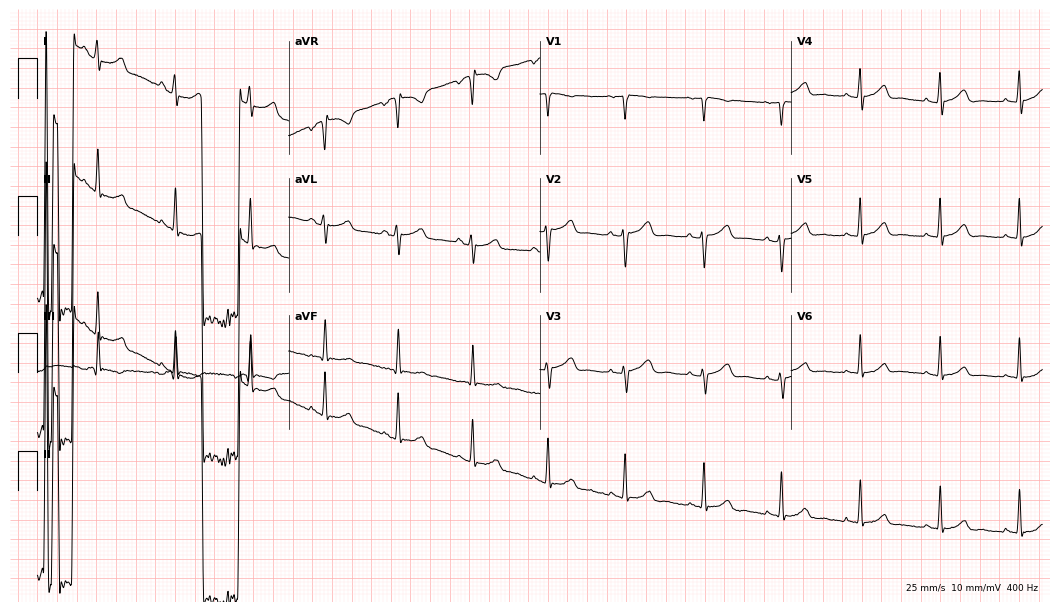
12-lead ECG from a female patient, 31 years old. Screened for six findings — first-degree AV block, right bundle branch block (RBBB), left bundle branch block (LBBB), sinus bradycardia, atrial fibrillation (AF), sinus tachycardia — none is recorded.